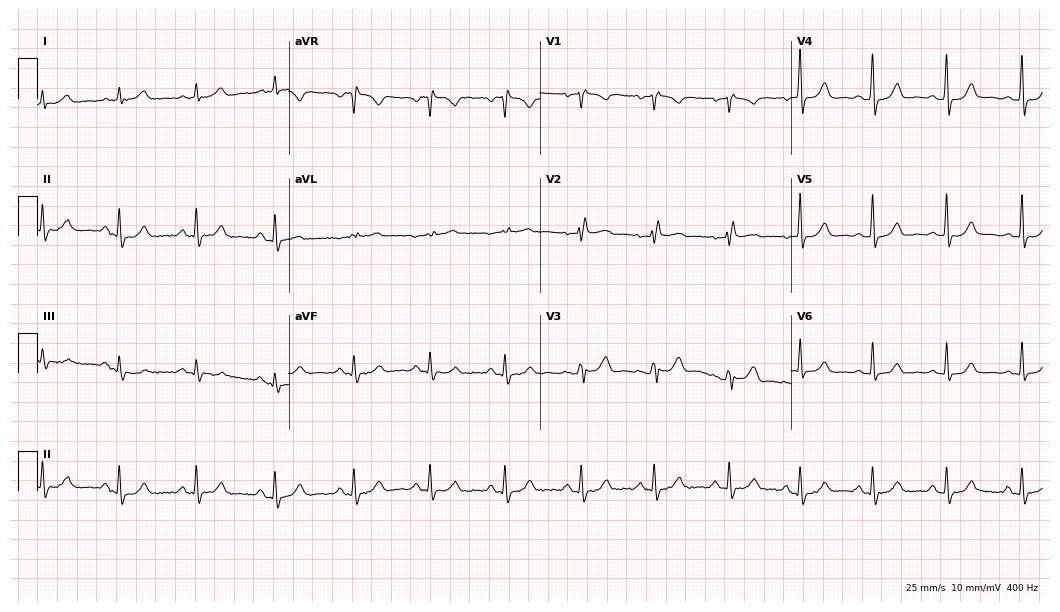
Electrocardiogram (10.2-second recording at 400 Hz), a 51-year-old man. Overall reading on record: normal ECG.